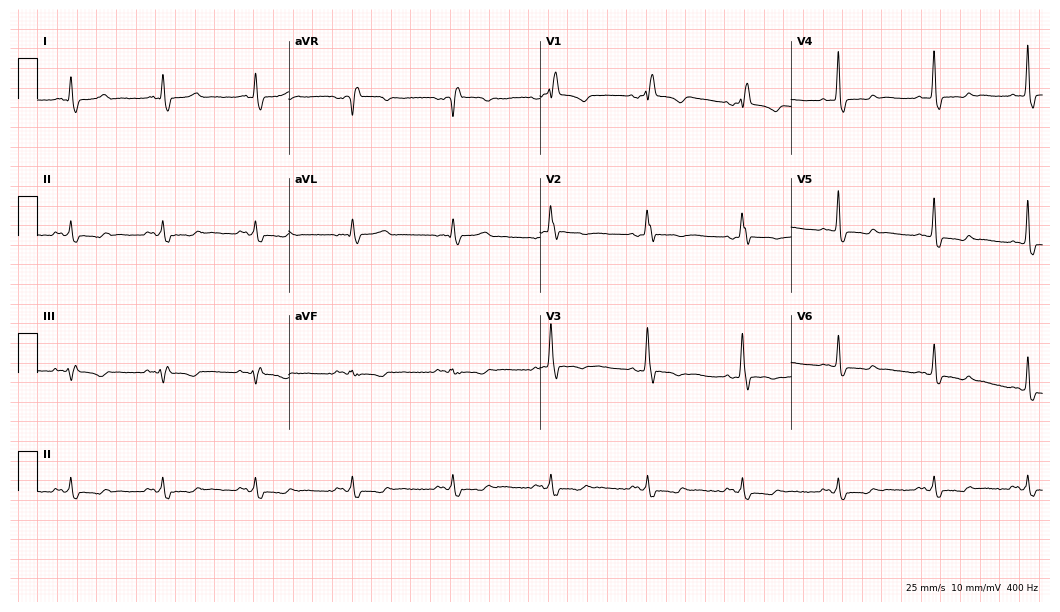
Standard 12-lead ECG recorded from a 64-year-old female patient. The tracing shows right bundle branch block.